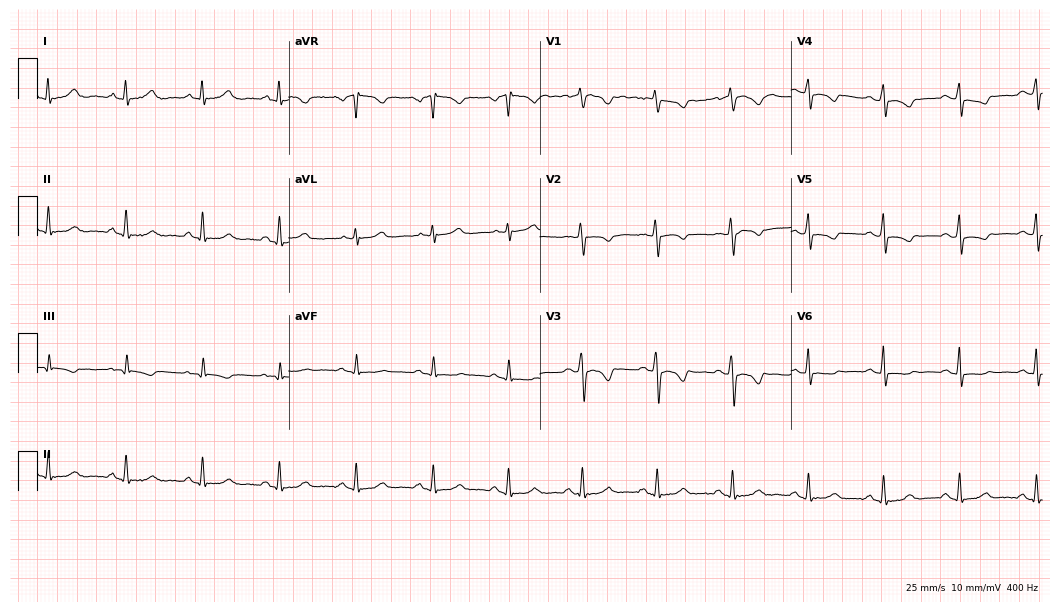
Standard 12-lead ECG recorded from a female, 58 years old (10.2-second recording at 400 Hz). None of these six findings is recorded: first-degree AV block, right bundle branch block (RBBB), left bundle branch block (LBBB), sinus bradycardia, atrial fibrillation (AF), sinus tachycardia.